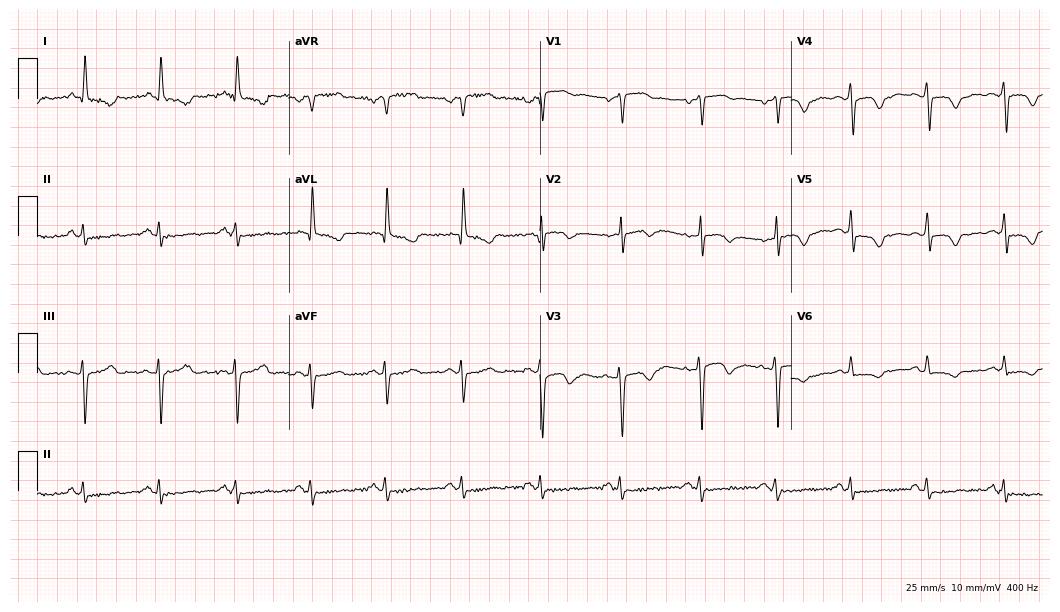
Resting 12-lead electrocardiogram (10.2-second recording at 400 Hz). Patient: a 57-year-old female. None of these six findings is recorded: first-degree AV block, right bundle branch block, left bundle branch block, sinus bradycardia, atrial fibrillation, sinus tachycardia. Findings outside these six are not listed.